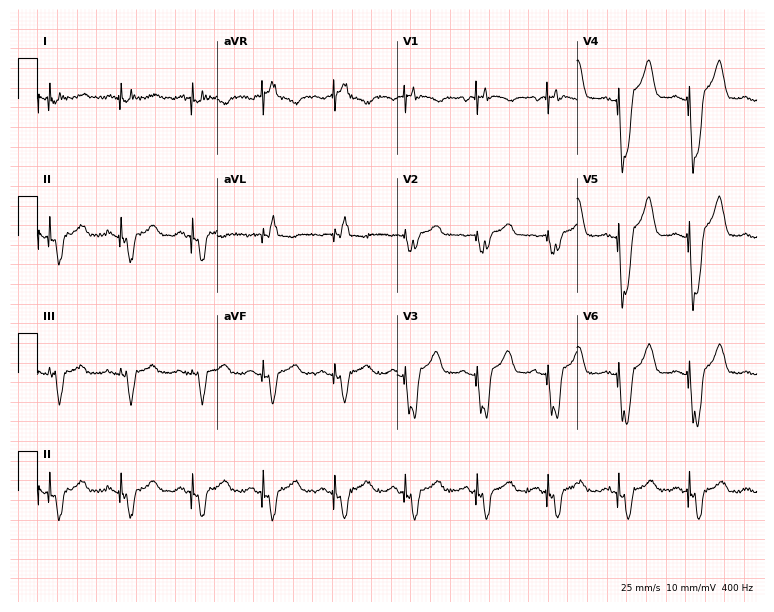
Electrocardiogram, a 60-year-old woman. Of the six screened findings (first-degree AV block, right bundle branch block (RBBB), left bundle branch block (LBBB), sinus bradycardia, atrial fibrillation (AF), sinus tachycardia), none is recorded.